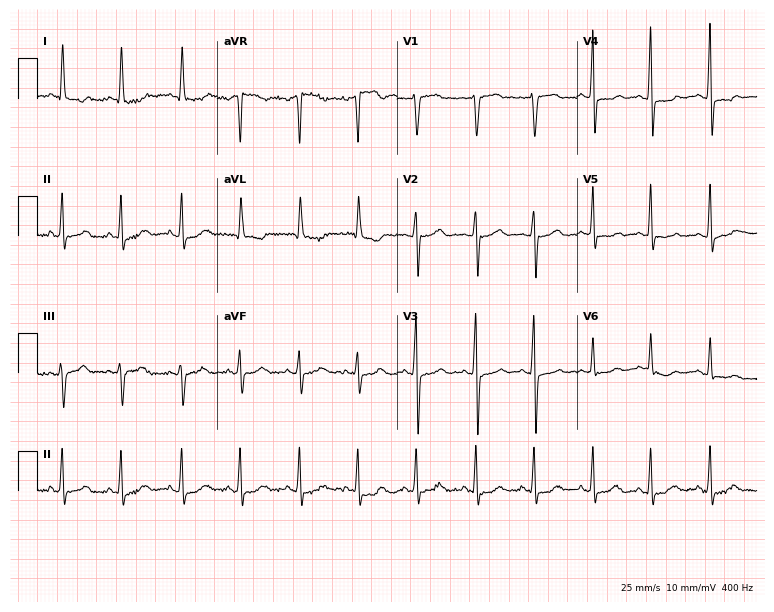
Standard 12-lead ECG recorded from a 76-year-old female (7.3-second recording at 400 Hz). Read as a normal ECG.